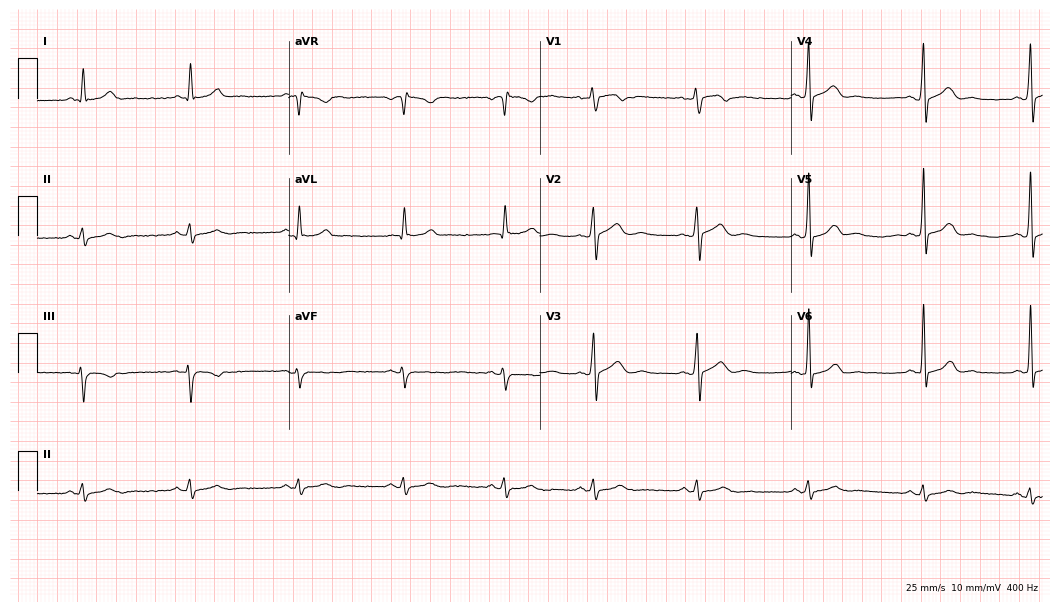
ECG — a male, 42 years old. Screened for six findings — first-degree AV block, right bundle branch block (RBBB), left bundle branch block (LBBB), sinus bradycardia, atrial fibrillation (AF), sinus tachycardia — none is recorded. Other findings, if any, are not listed.